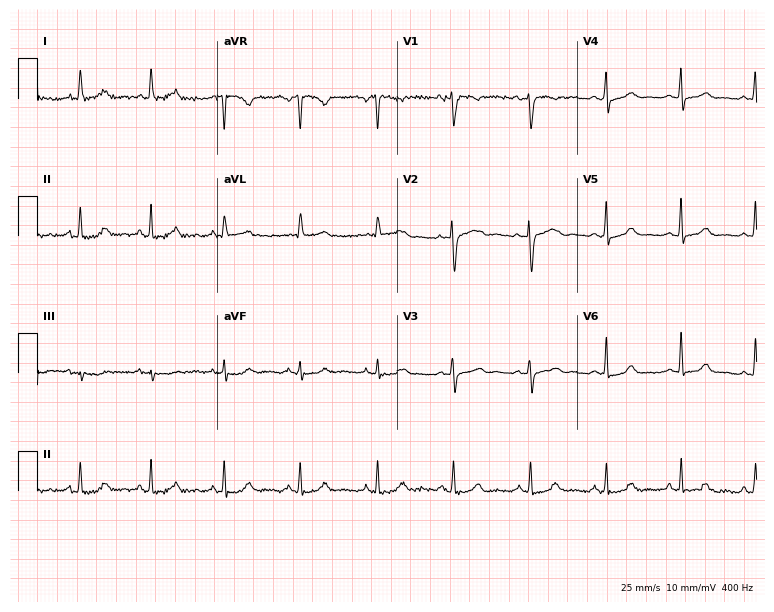
Resting 12-lead electrocardiogram (7.3-second recording at 400 Hz). Patient: a woman, 36 years old. Read as a normal ECG.